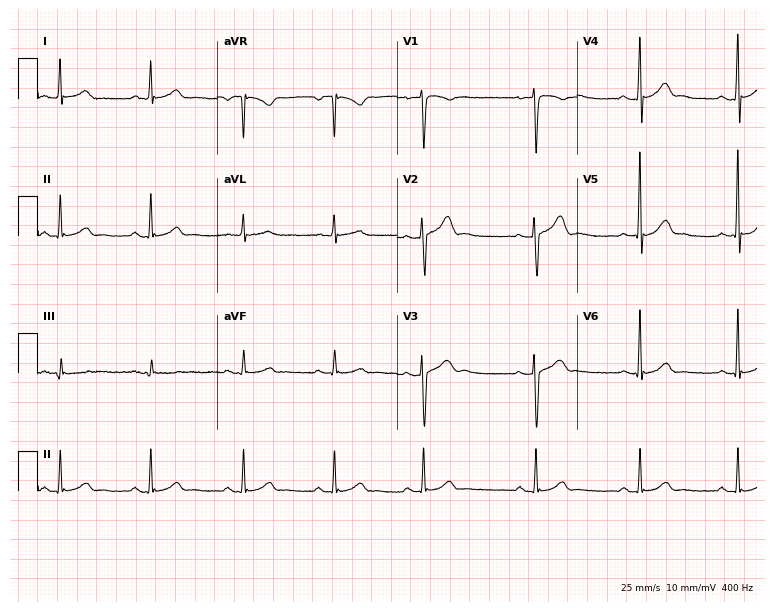
ECG (7.3-second recording at 400 Hz) — a 32-year-old male. Labelled as a normal ECG.